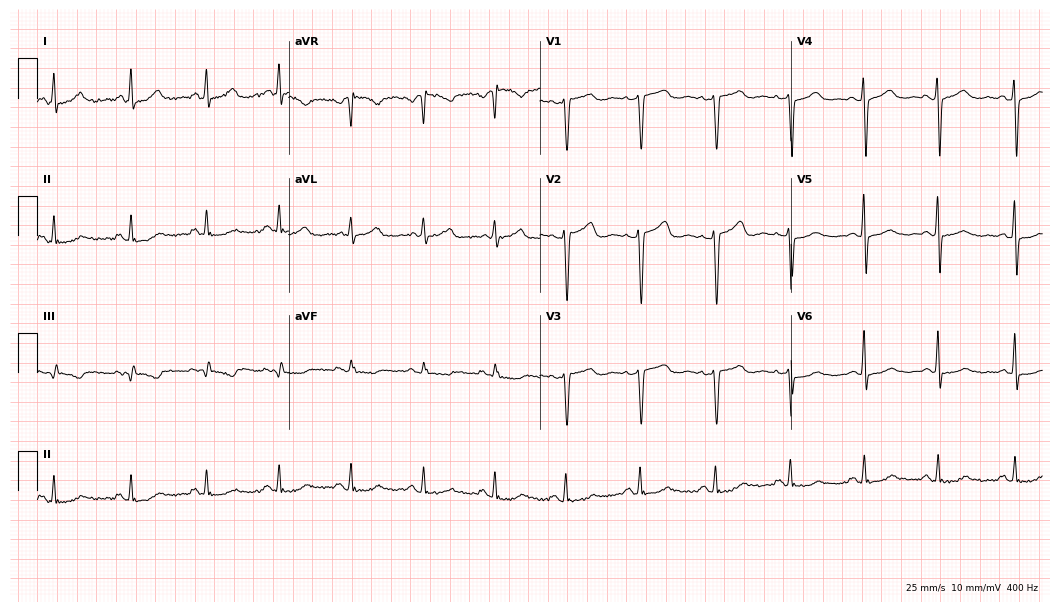
ECG (10.2-second recording at 400 Hz) — a female patient, 48 years old. Screened for six findings — first-degree AV block, right bundle branch block, left bundle branch block, sinus bradycardia, atrial fibrillation, sinus tachycardia — none is recorded.